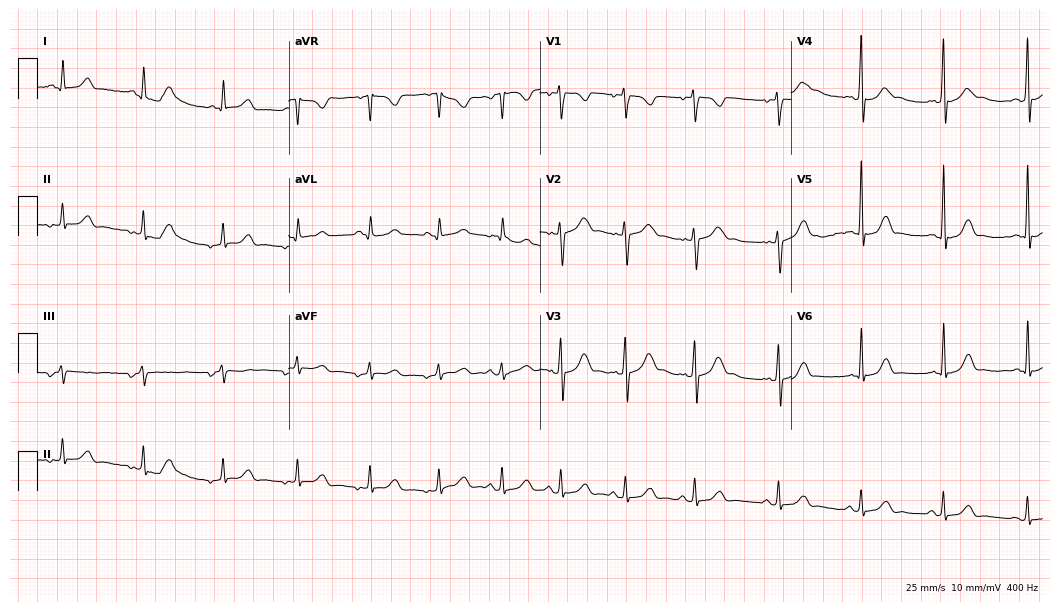
Electrocardiogram (10.2-second recording at 400 Hz), a 17-year-old female. Of the six screened findings (first-degree AV block, right bundle branch block (RBBB), left bundle branch block (LBBB), sinus bradycardia, atrial fibrillation (AF), sinus tachycardia), none is recorded.